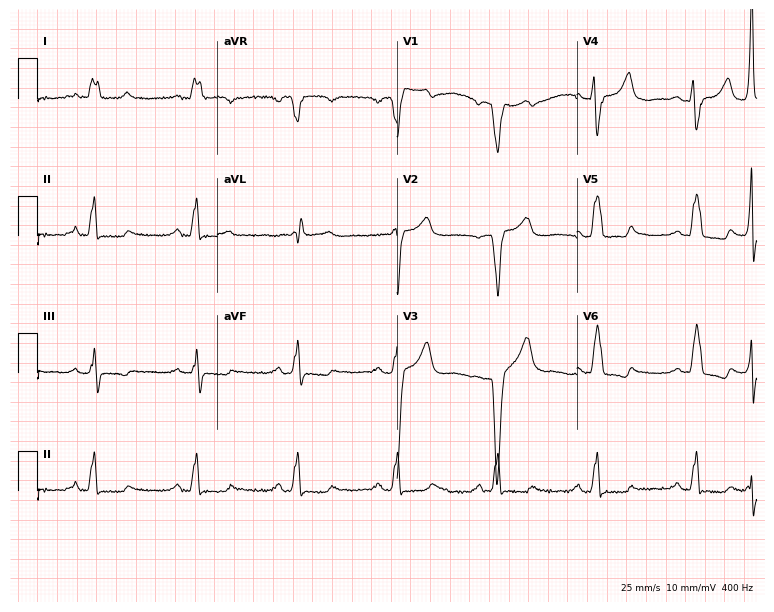
12-lead ECG (7.3-second recording at 400 Hz) from a female patient, 82 years old. Findings include left bundle branch block.